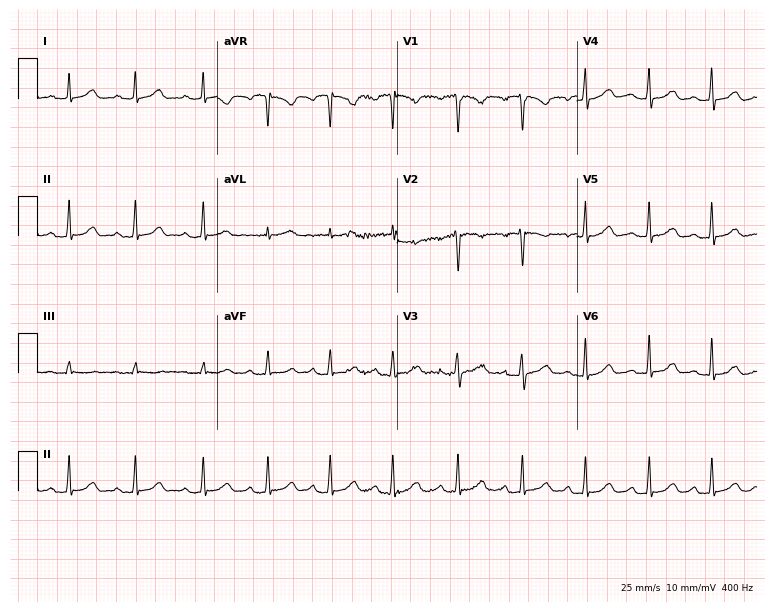
Standard 12-lead ECG recorded from a 25-year-old female patient (7.3-second recording at 400 Hz). None of these six findings is recorded: first-degree AV block, right bundle branch block (RBBB), left bundle branch block (LBBB), sinus bradycardia, atrial fibrillation (AF), sinus tachycardia. Other findings, if any, are not listed.